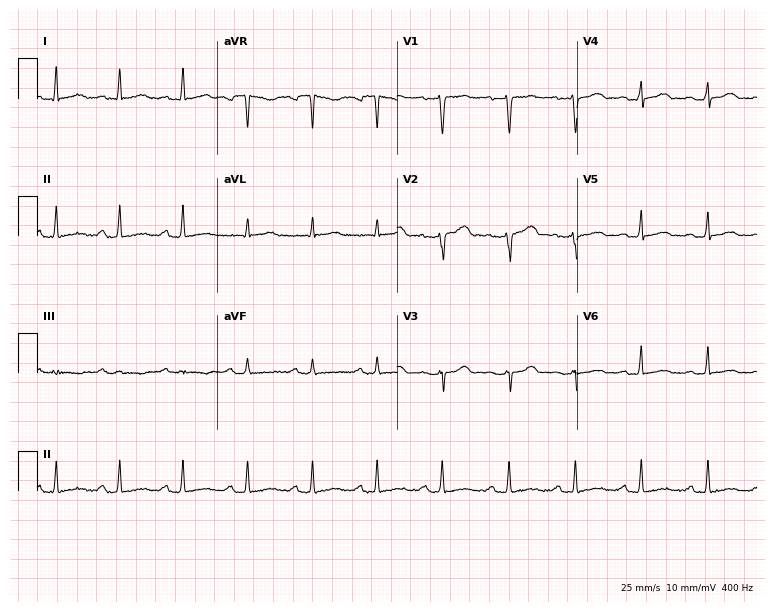
Electrocardiogram (7.3-second recording at 400 Hz), a 26-year-old female. Of the six screened findings (first-degree AV block, right bundle branch block, left bundle branch block, sinus bradycardia, atrial fibrillation, sinus tachycardia), none is recorded.